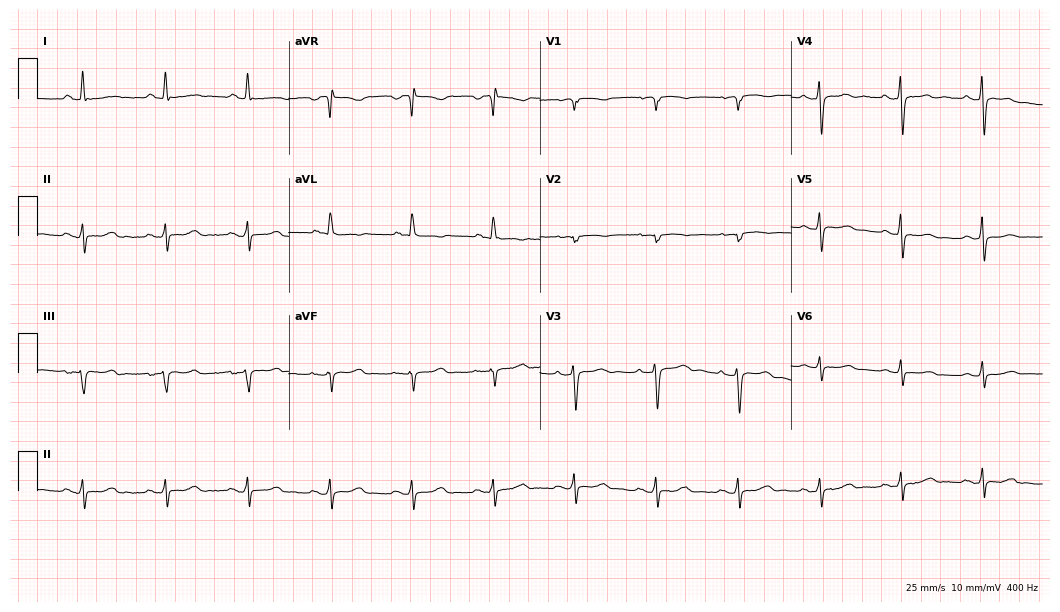
Resting 12-lead electrocardiogram (10.2-second recording at 400 Hz). Patient: a 62-year-old woman. None of these six findings is recorded: first-degree AV block, right bundle branch block, left bundle branch block, sinus bradycardia, atrial fibrillation, sinus tachycardia.